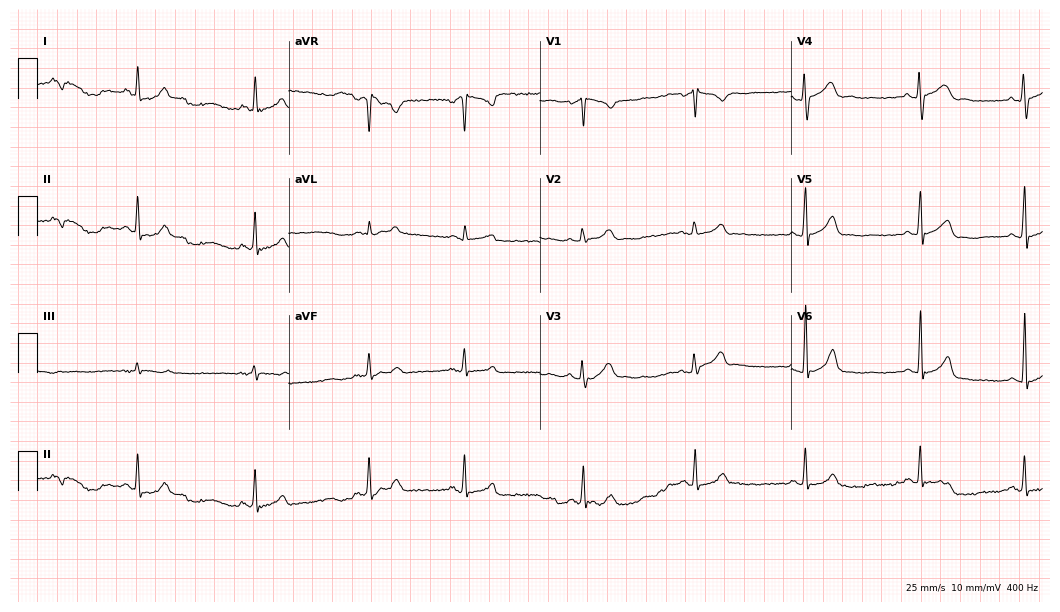
Electrocardiogram (10.2-second recording at 400 Hz), a 21-year-old female. Overall reading on record: normal ECG.